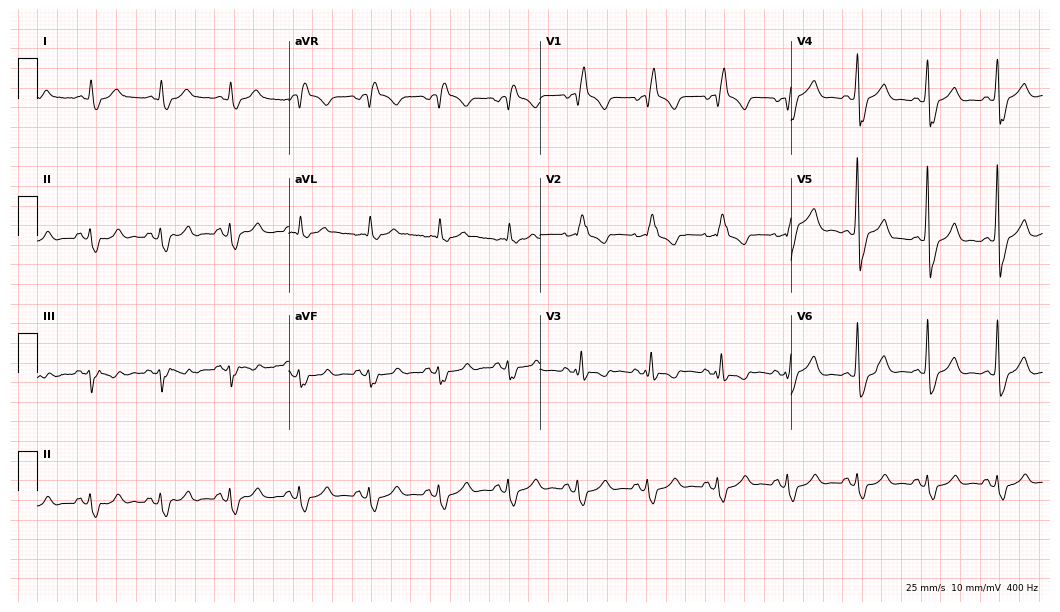
Standard 12-lead ECG recorded from a male, 70 years old. The tracing shows right bundle branch block.